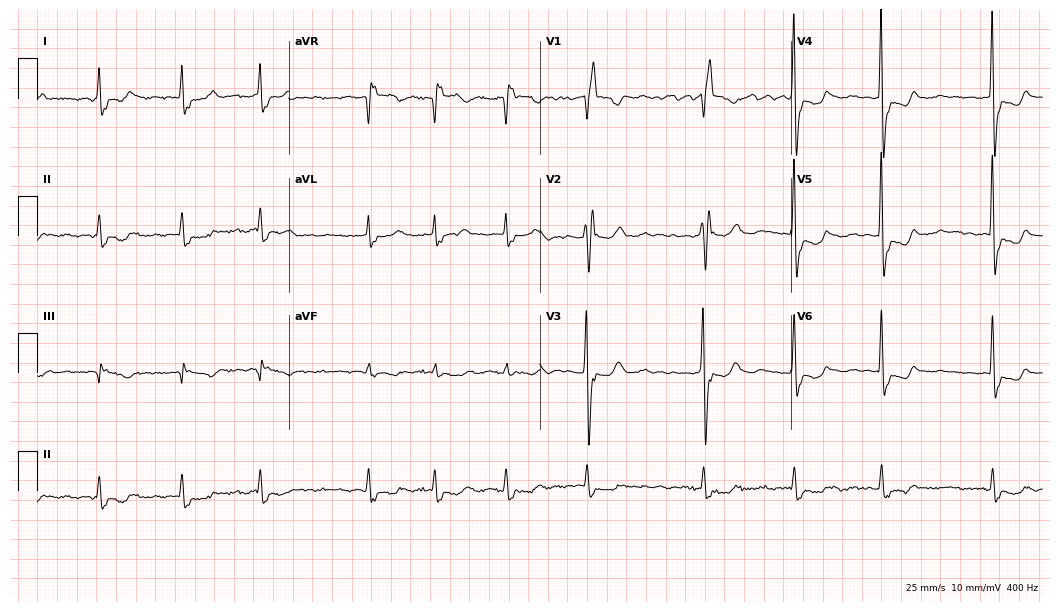
ECG — a female, 82 years old. Findings include right bundle branch block, atrial fibrillation.